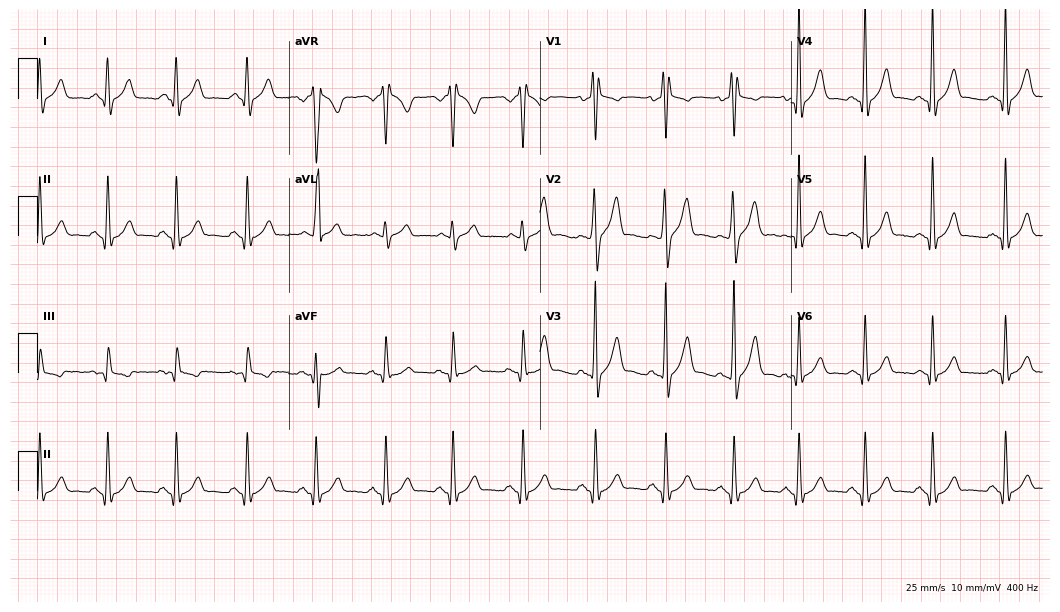
Standard 12-lead ECG recorded from a 45-year-old male patient. None of these six findings is recorded: first-degree AV block, right bundle branch block, left bundle branch block, sinus bradycardia, atrial fibrillation, sinus tachycardia. Other findings, if any, are not listed.